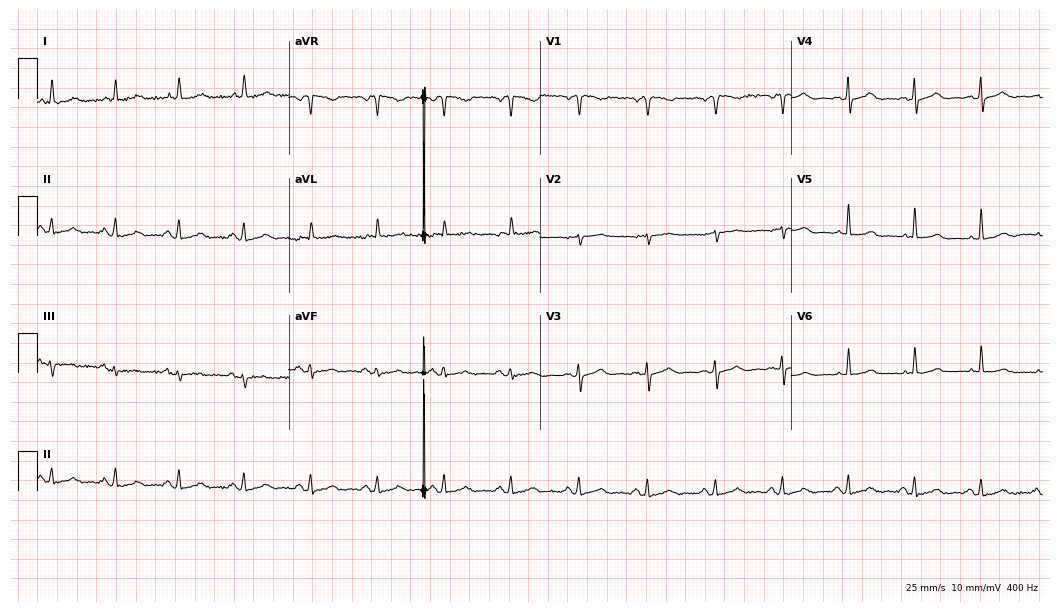
Standard 12-lead ECG recorded from a female patient, 78 years old (10.2-second recording at 400 Hz). None of these six findings is recorded: first-degree AV block, right bundle branch block (RBBB), left bundle branch block (LBBB), sinus bradycardia, atrial fibrillation (AF), sinus tachycardia. Only these six findings were labelled.